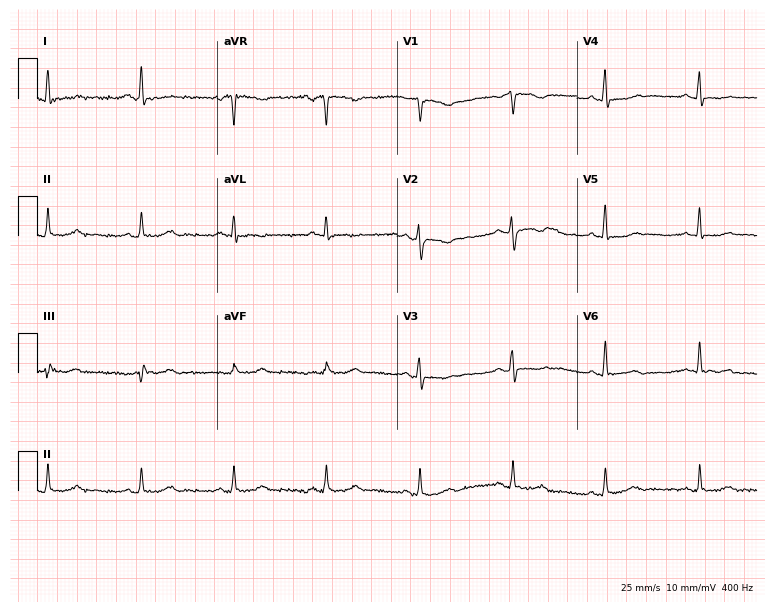
Electrocardiogram (7.3-second recording at 400 Hz), a female, 51 years old. Of the six screened findings (first-degree AV block, right bundle branch block (RBBB), left bundle branch block (LBBB), sinus bradycardia, atrial fibrillation (AF), sinus tachycardia), none is recorded. Other findings, if any, are not listed.